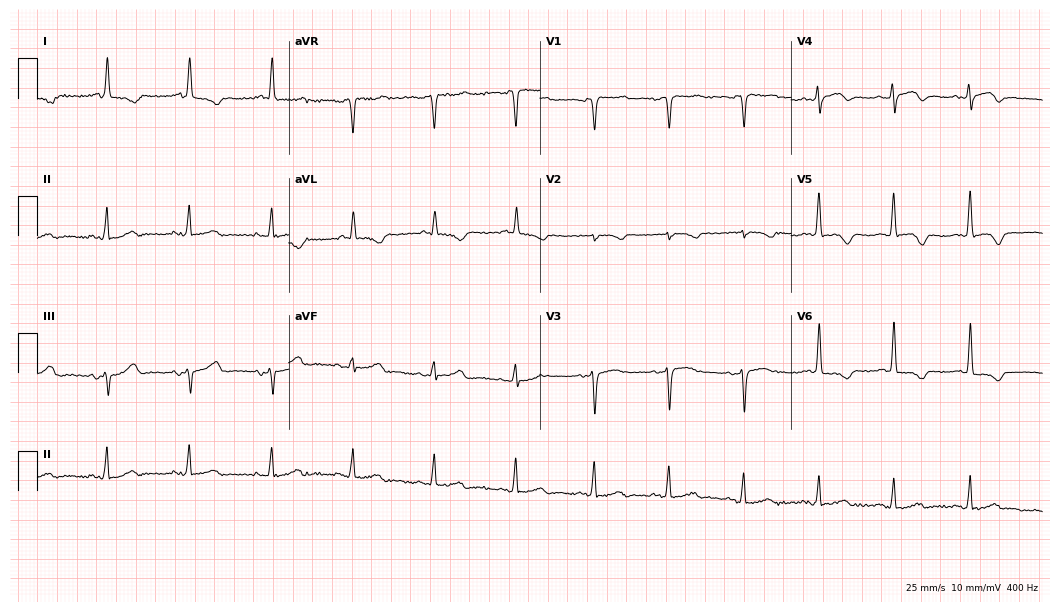
Electrocardiogram, an 82-year-old female patient. Overall reading on record: normal ECG.